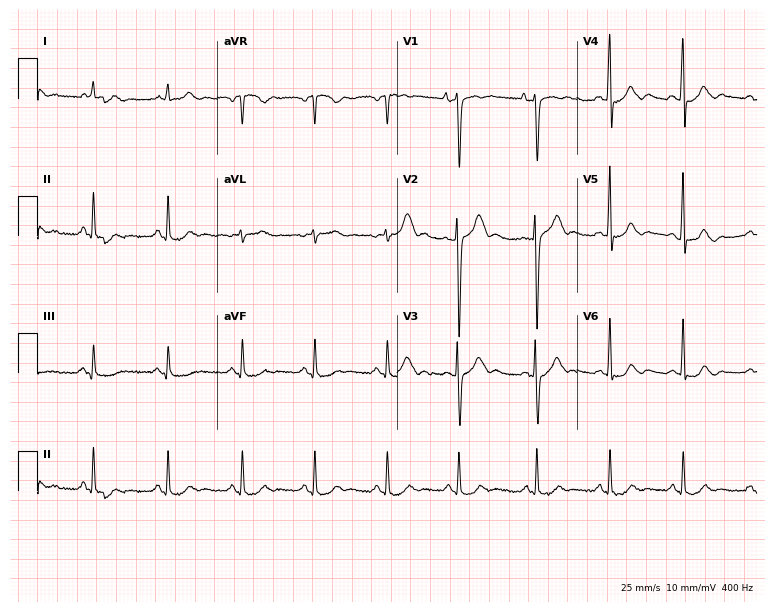
12-lead ECG from a 25-year-old man. Labelled as a normal ECG.